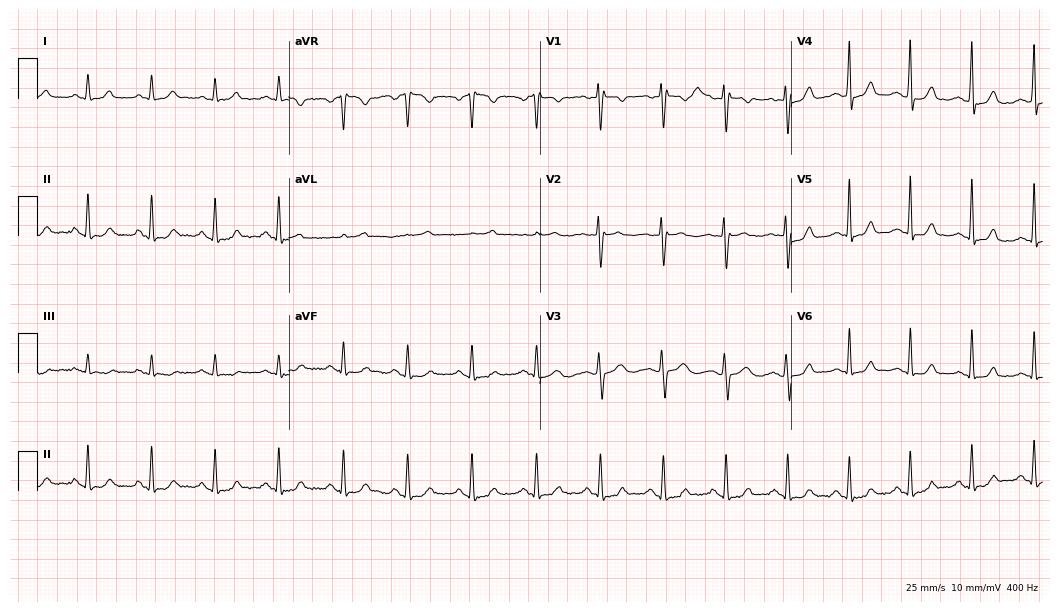
12-lead ECG (10.2-second recording at 400 Hz) from a woman, 46 years old. Labelled as a normal ECG.